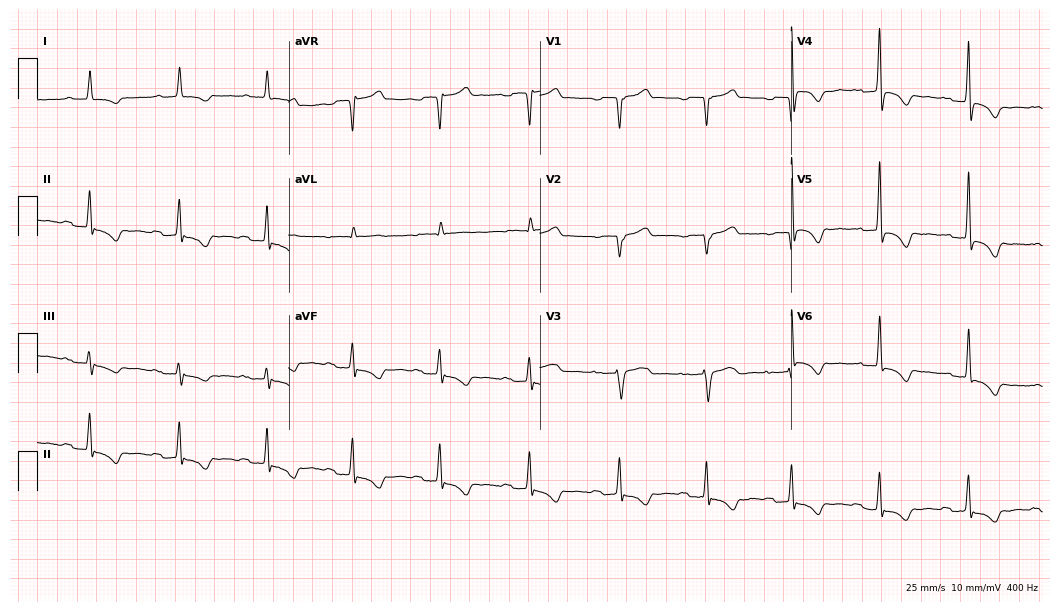
12-lead ECG from a 71-year-old male patient. Findings include first-degree AV block.